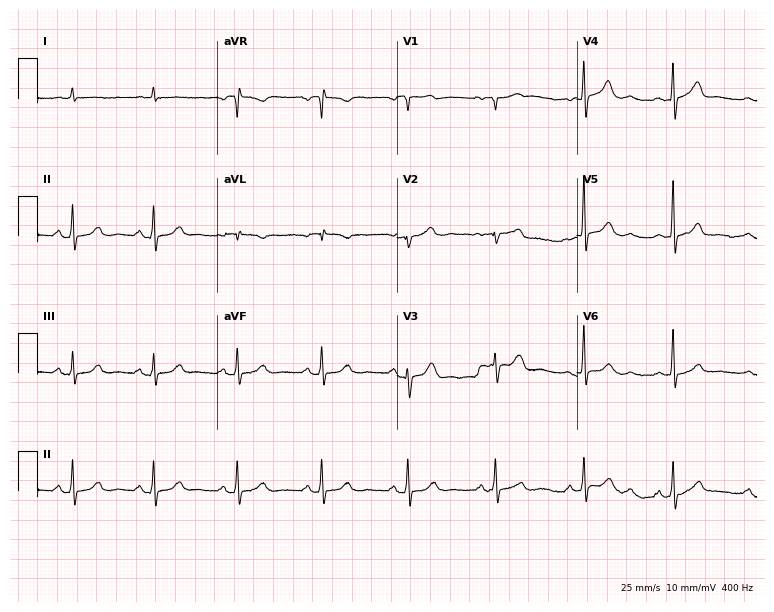
12-lead ECG from an 83-year-old male (7.3-second recording at 400 Hz). No first-degree AV block, right bundle branch block, left bundle branch block, sinus bradycardia, atrial fibrillation or sinus tachycardia recorded for this tracing. Findings outside these six are not listed.